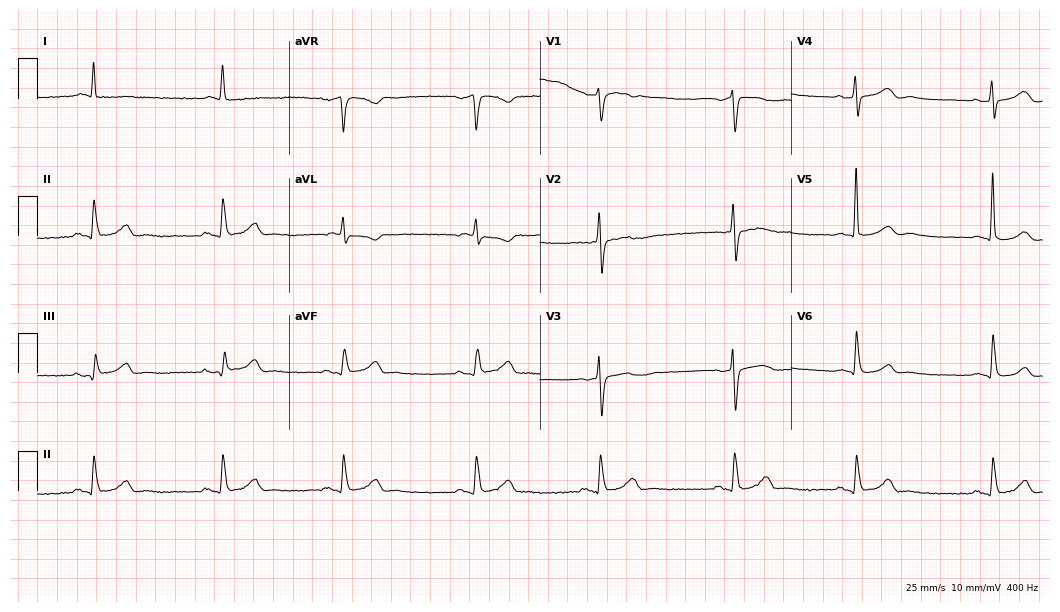
12-lead ECG from a woman, 77 years old. Findings include right bundle branch block.